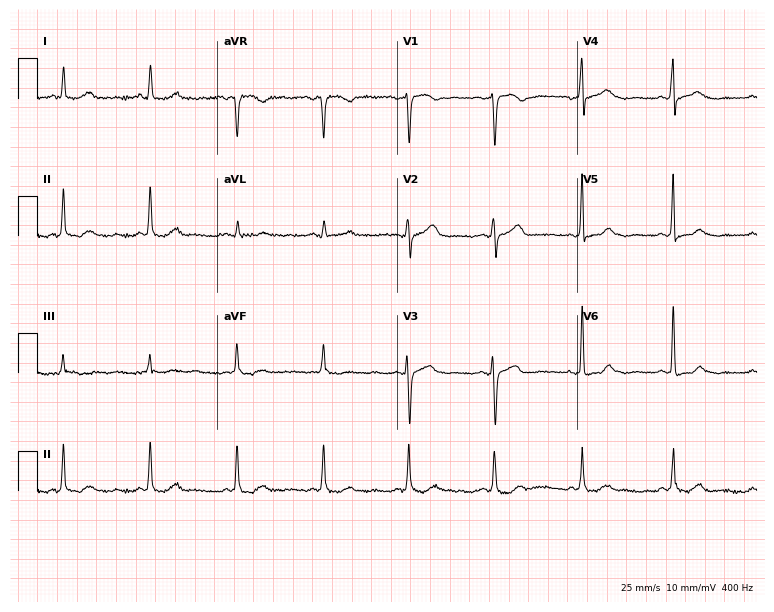
Standard 12-lead ECG recorded from a 54-year-old female patient. Read as a normal ECG.